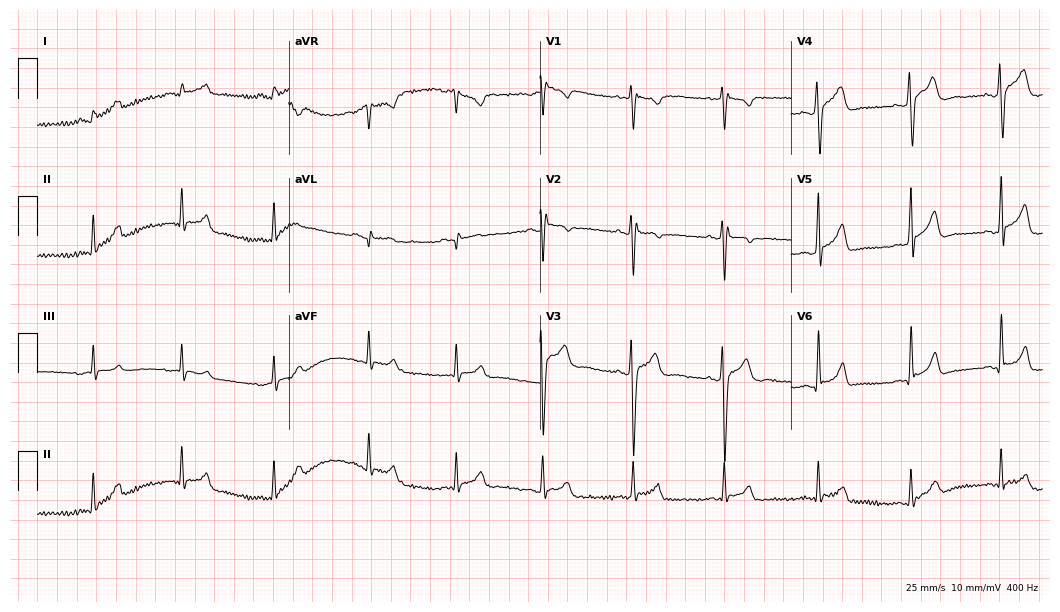
Electrocardiogram, a 25-year-old man. Of the six screened findings (first-degree AV block, right bundle branch block, left bundle branch block, sinus bradycardia, atrial fibrillation, sinus tachycardia), none is recorded.